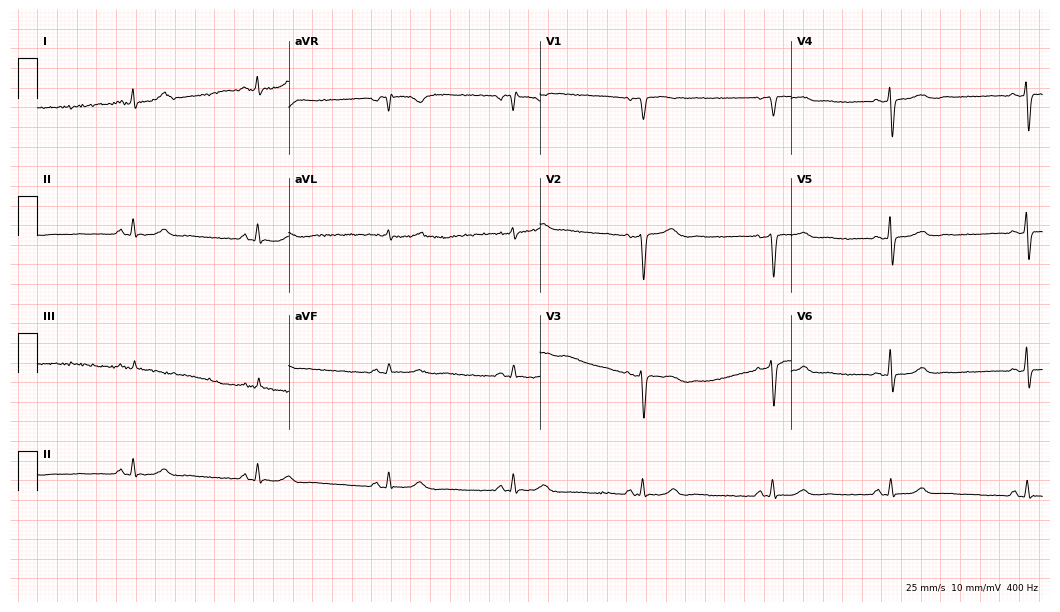
Standard 12-lead ECG recorded from a female patient, 63 years old (10.2-second recording at 400 Hz). None of these six findings is recorded: first-degree AV block, right bundle branch block (RBBB), left bundle branch block (LBBB), sinus bradycardia, atrial fibrillation (AF), sinus tachycardia. Only these six findings were labelled.